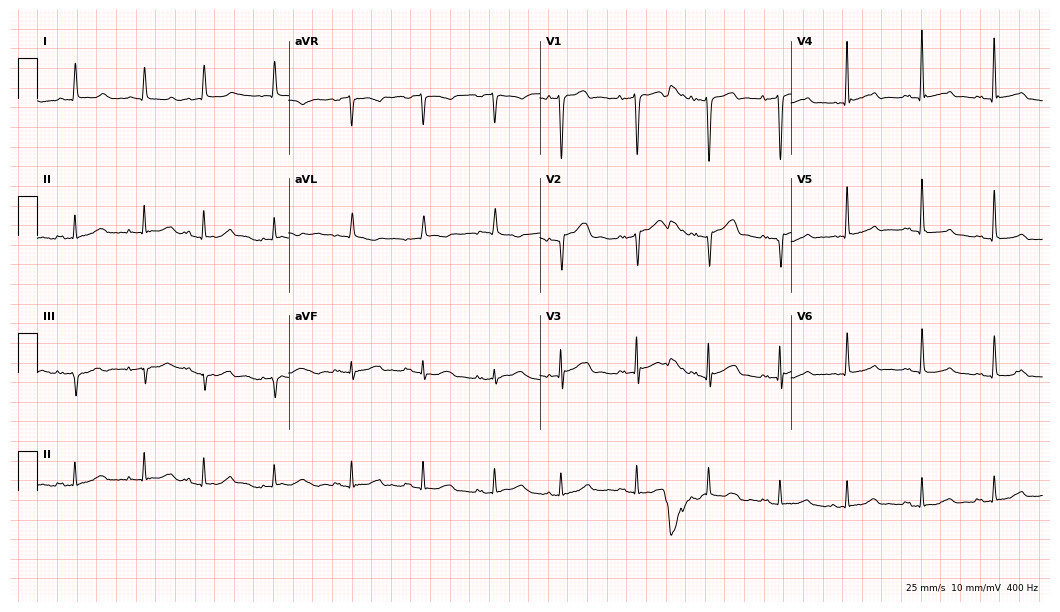
12-lead ECG (10.2-second recording at 400 Hz) from a female patient, 76 years old. Screened for six findings — first-degree AV block, right bundle branch block, left bundle branch block, sinus bradycardia, atrial fibrillation, sinus tachycardia — none is recorded.